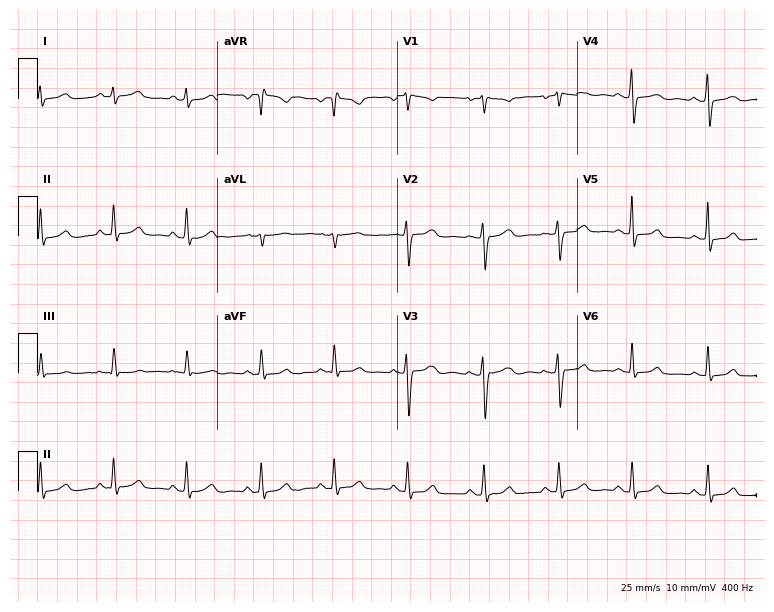
12-lead ECG from a 47-year-old female. No first-degree AV block, right bundle branch block (RBBB), left bundle branch block (LBBB), sinus bradycardia, atrial fibrillation (AF) or sinus tachycardia recorded for this tracing.